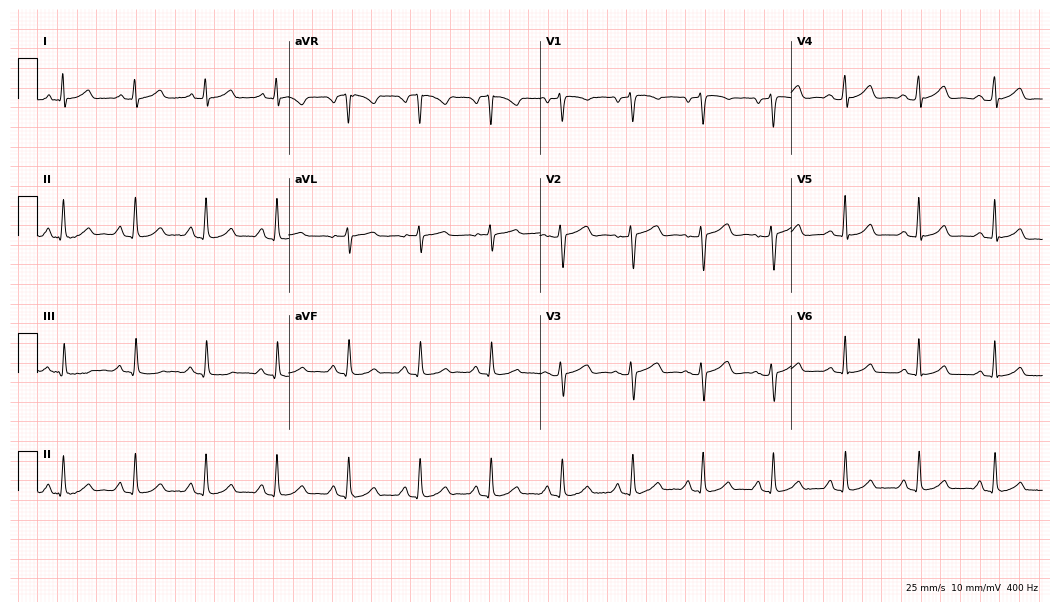
ECG (10.2-second recording at 400 Hz) — a female patient, 49 years old. Screened for six findings — first-degree AV block, right bundle branch block (RBBB), left bundle branch block (LBBB), sinus bradycardia, atrial fibrillation (AF), sinus tachycardia — none is recorded. Other findings, if any, are not listed.